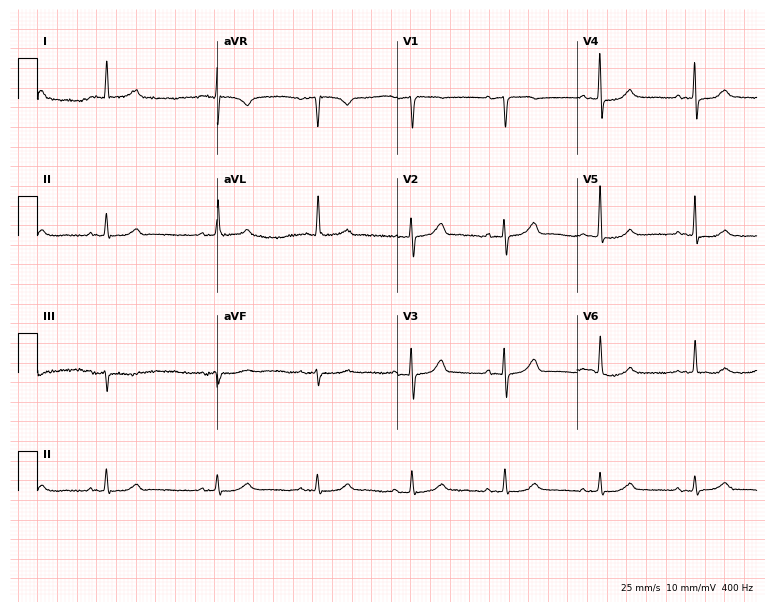
ECG — an 82-year-old female patient. Labelled as a normal ECG.